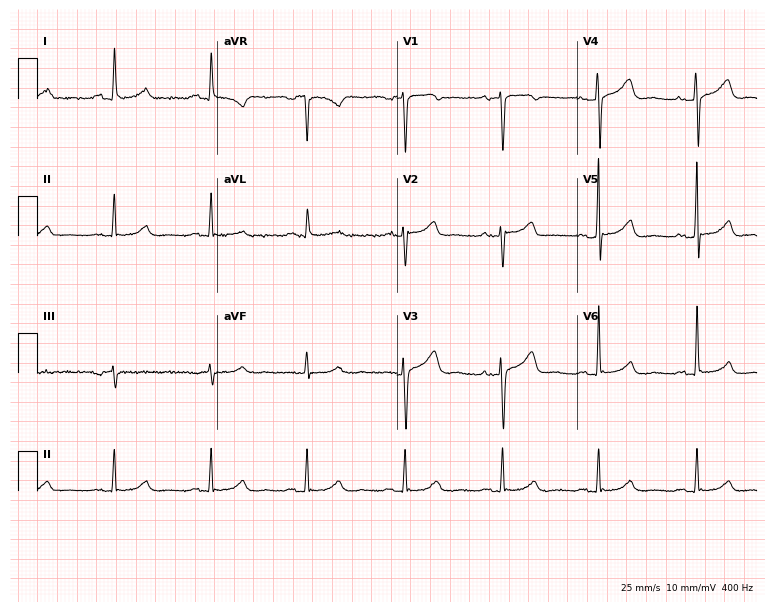
ECG (7.3-second recording at 400 Hz) — a woman, 64 years old. Screened for six findings — first-degree AV block, right bundle branch block (RBBB), left bundle branch block (LBBB), sinus bradycardia, atrial fibrillation (AF), sinus tachycardia — none is recorded.